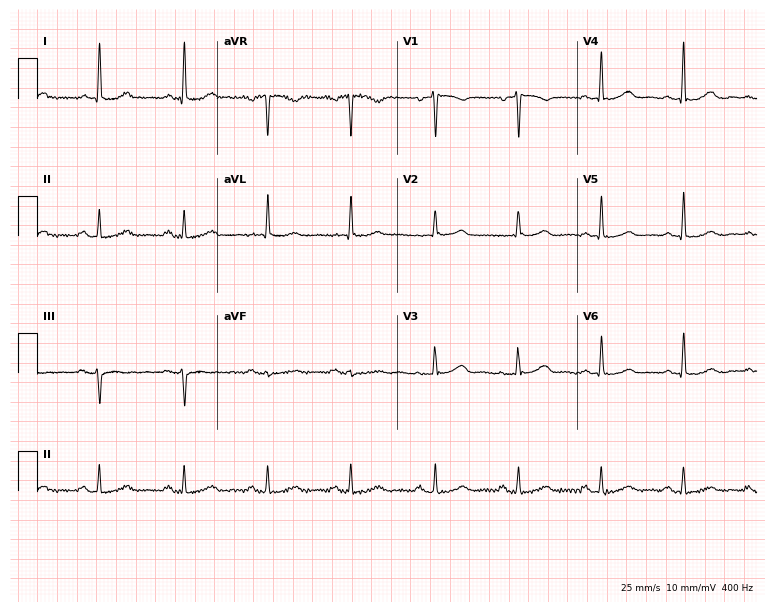
12-lead ECG from a female, 59 years old (7.3-second recording at 400 Hz). No first-degree AV block, right bundle branch block, left bundle branch block, sinus bradycardia, atrial fibrillation or sinus tachycardia recorded for this tracing. Other findings, if any, are not listed.